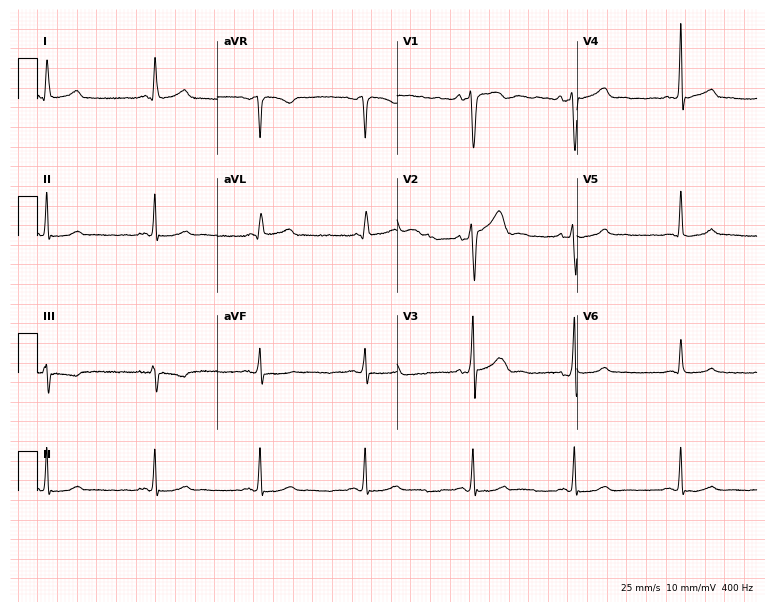
12-lead ECG from a 52-year-old male. Labelled as a normal ECG.